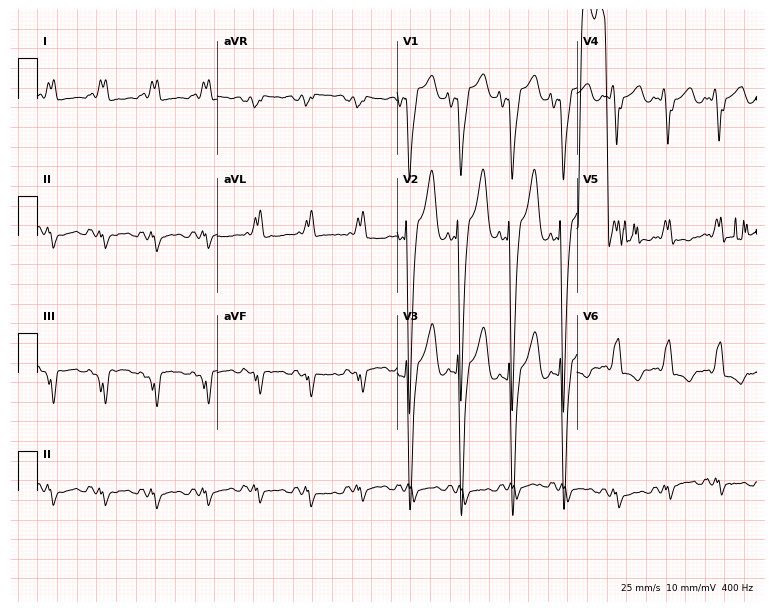
Electrocardiogram, a woman, 48 years old. Of the six screened findings (first-degree AV block, right bundle branch block, left bundle branch block, sinus bradycardia, atrial fibrillation, sinus tachycardia), none is recorded. Only these six findings were labelled.